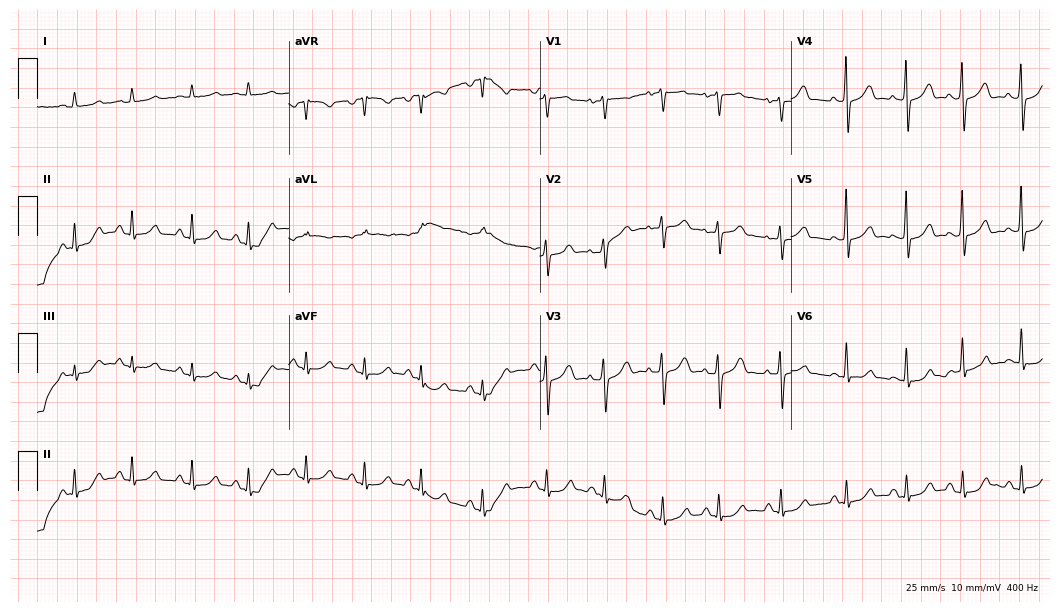
Standard 12-lead ECG recorded from a 76-year-old female. None of these six findings is recorded: first-degree AV block, right bundle branch block, left bundle branch block, sinus bradycardia, atrial fibrillation, sinus tachycardia. Findings outside these six are not listed.